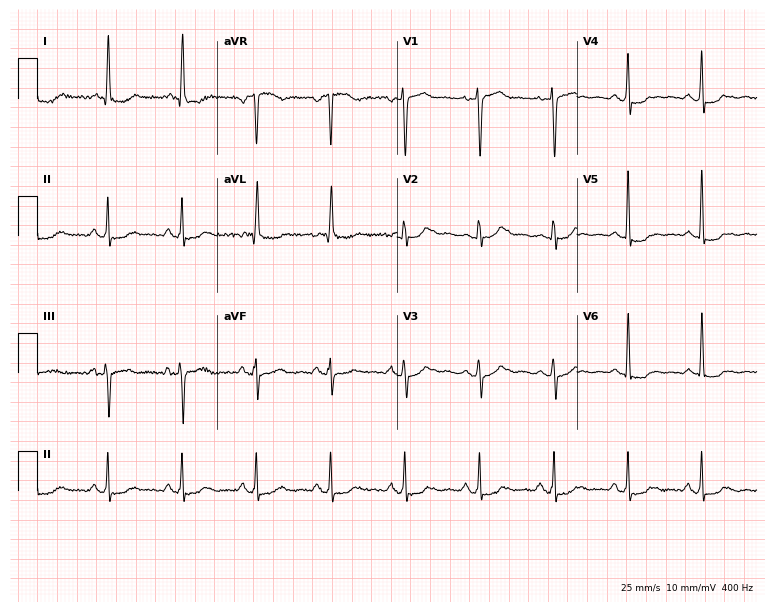
Resting 12-lead electrocardiogram (7.3-second recording at 400 Hz). Patient: a 74-year-old woman. None of these six findings is recorded: first-degree AV block, right bundle branch block (RBBB), left bundle branch block (LBBB), sinus bradycardia, atrial fibrillation (AF), sinus tachycardia. Findings outside these six are not listed.